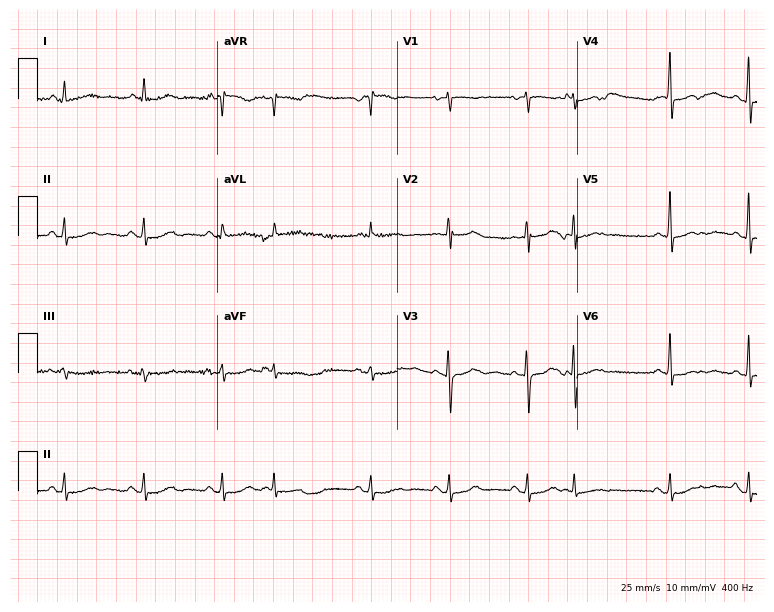
Standard 12-lead ECG recorded from a 66-year-old female patient. None of these six findings is recorded: first-degree AV block, right bundle branch block, left bundle branch block, sinus bradycardia, atrial fibrillation, sinus tachycardia. Findings outside these six are not listed.